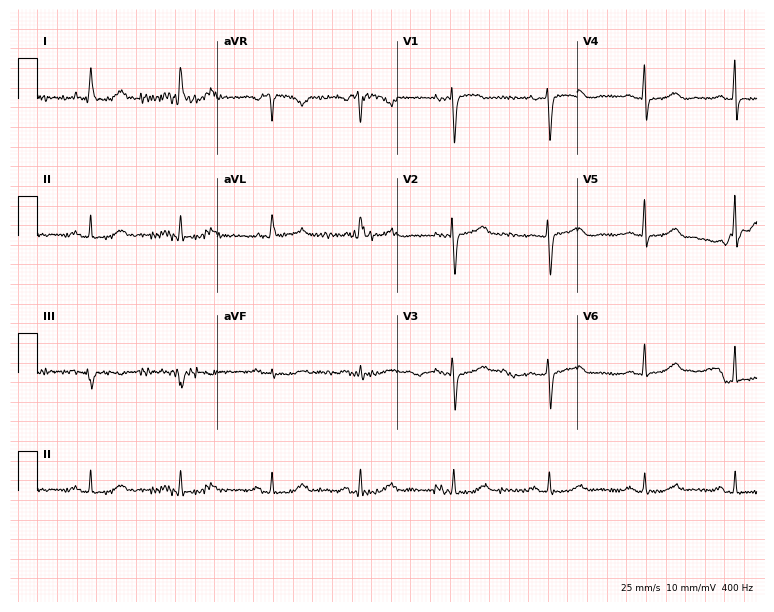
12-lead ECG from a female patient, 84 years old. Screened for six findings — first-degree AV block, right bundle branch block, left bundle branch block, sinus bradycardia, atrial fibrillation, sinus tachycardia — none is recorded. Other findings, if any, are not listed.